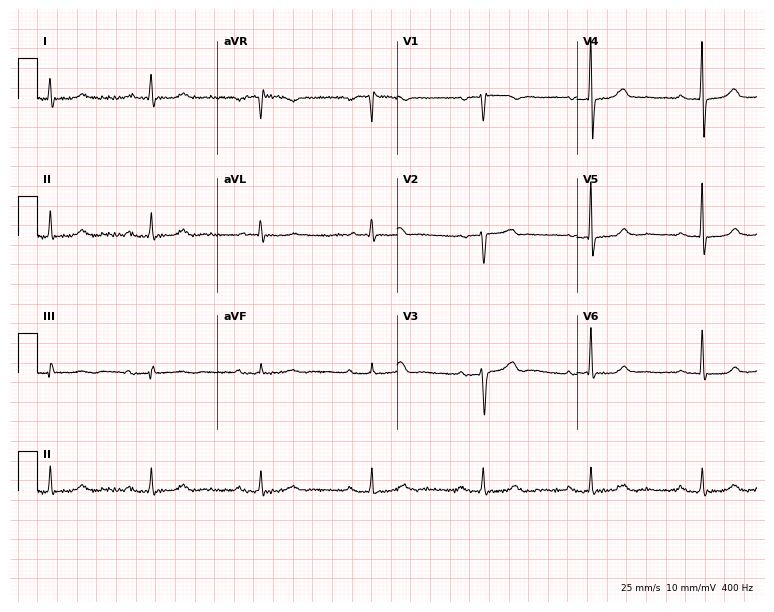
12-lead ECG from a 79-year-old woman. Labelled as a normal ECG.